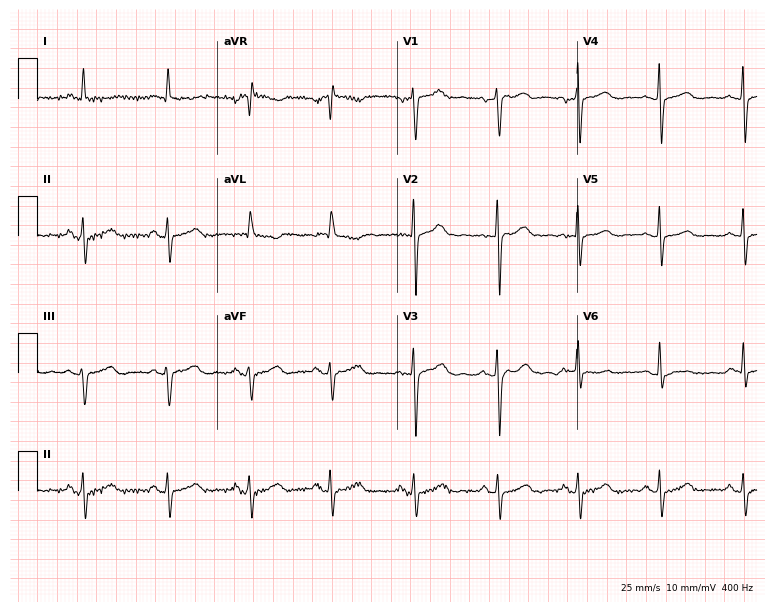
12-lead ECG from a 53-year-old female. No first-degree AV block, right bundle branch block, left bundle branch block, sinus bradycardia, atrial fibrillation or sinus tachycardia recorded for this tracing.